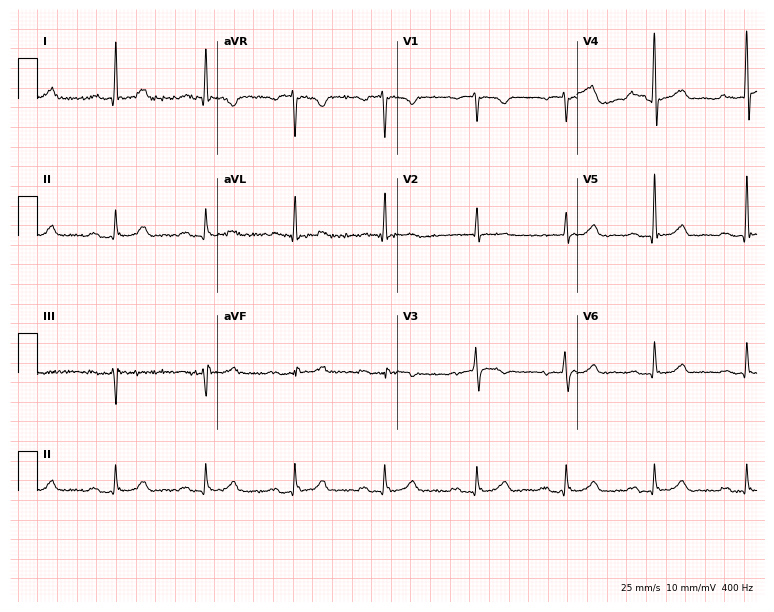
Standard 12-lead ECG recorded from a man, 62 years old. None of these six findings is recorded: first-degree AV block, right bundle branch block (RBBB), left bundle branch block (LBBB), sinus bradycardia, atrial fibrillation (AF), sinus tachycardia. Findings outside these six are not listed.